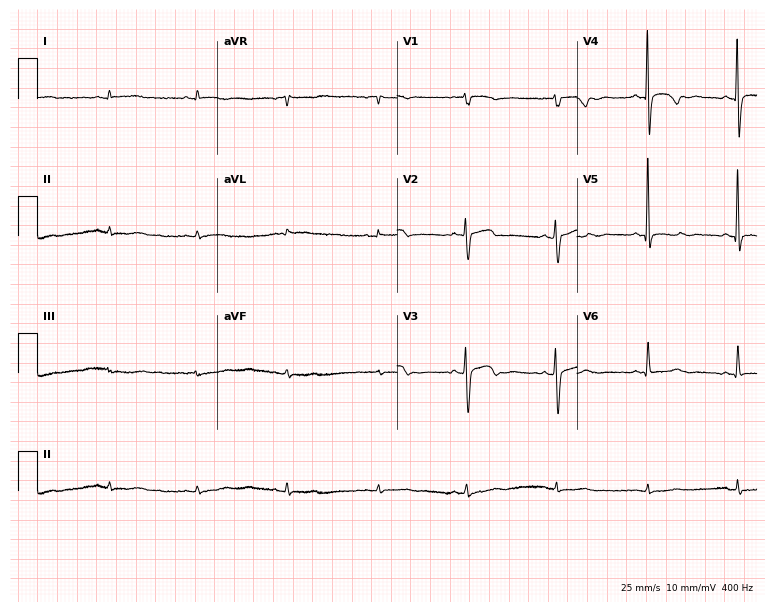
12-lead ECG from a female patient, 57 years old. Screened for six findings — first-degree AV block, right bundle branch block, left bundle branch block, sinus bradycardia, atrial fibrillation, sinus tachycardia — none is recorded.